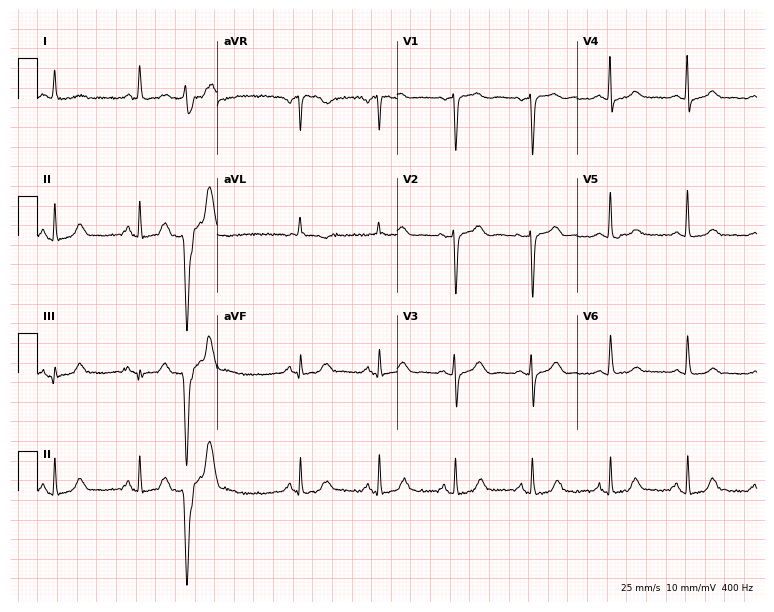
Resting 12-lead electrocardiogram. Patient: a woman, 80 years old. None of these six findings is recorded: first-degree AV block, right bundle branch block (RBBB), left bundle branch block (LBBB), sinus bradycardia, atrial fibrillation (AF), sinus tachycardia.